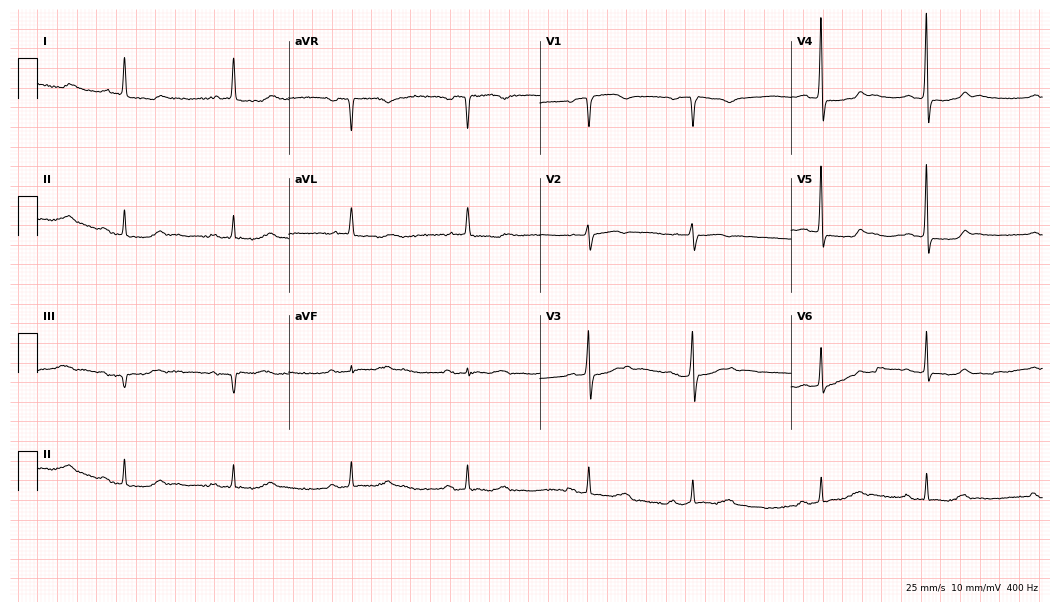
Electrocardiogram (10.2-second recording at 400 Hz), a woman, 78 years old. Interpretation includes first-degree AV block.